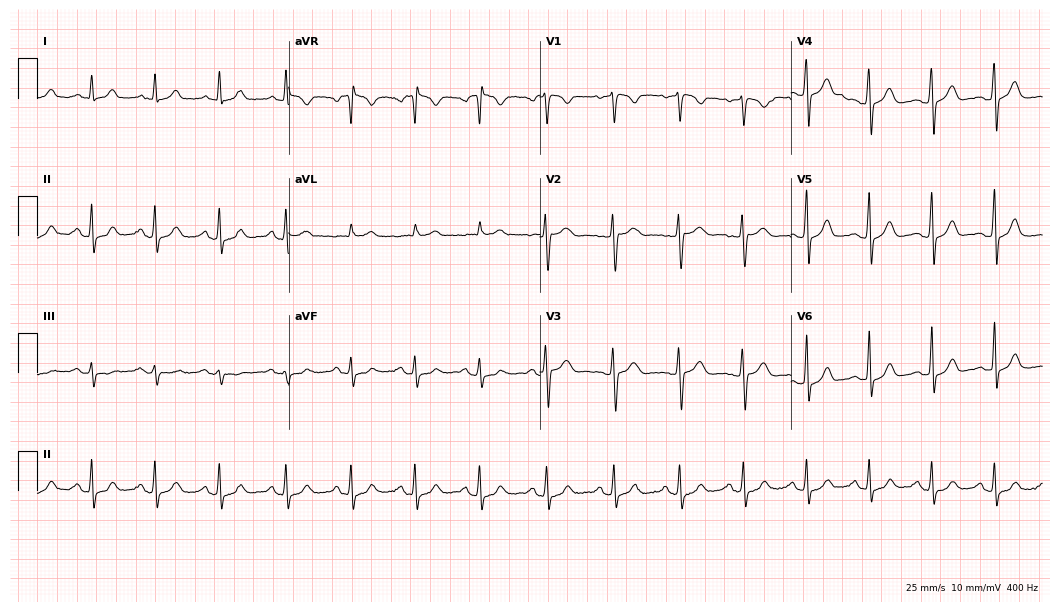
ECG — a 31-year-old female. Labelled as a normal ECG.